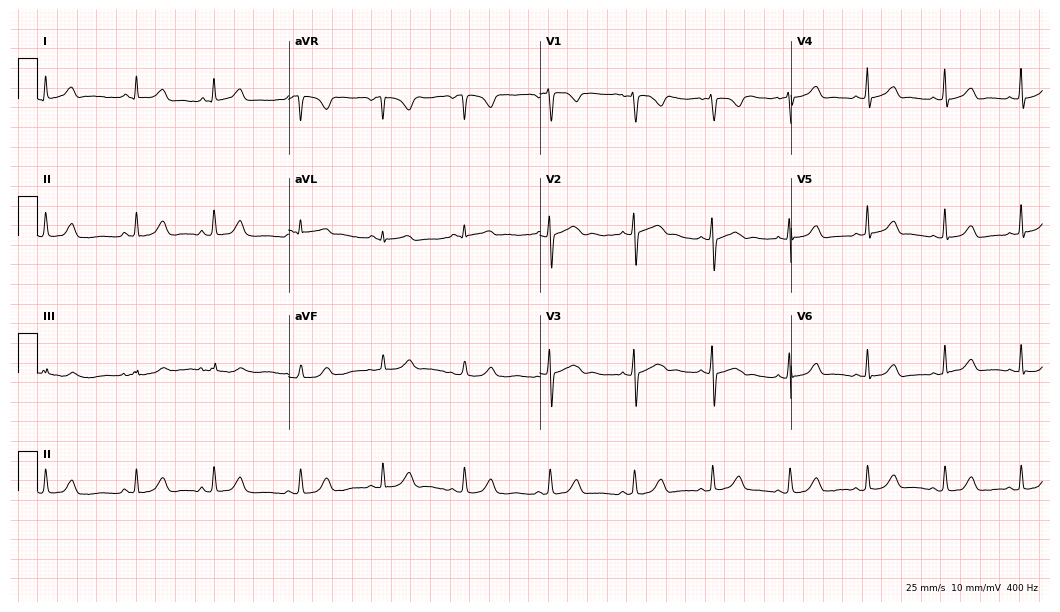
Resting 12-lead electrocardiogram. Patient: a female, 22 years old. Read as a normal ECG.